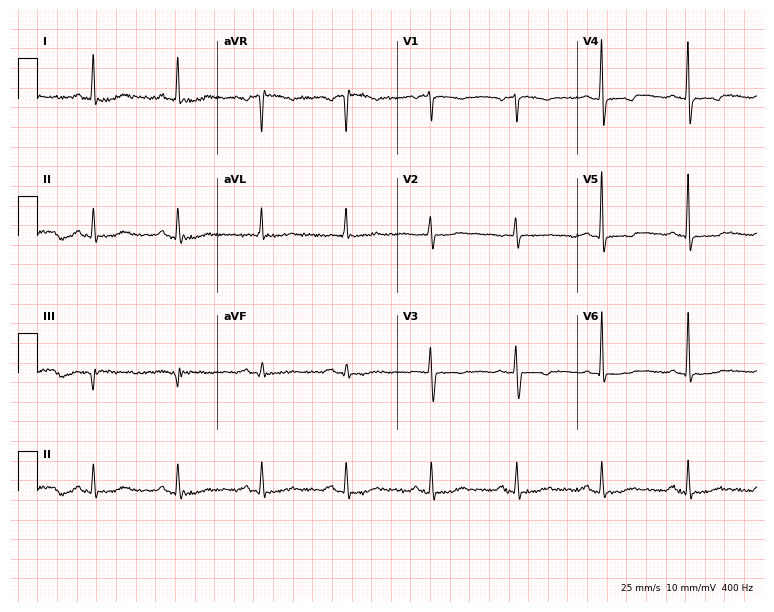
Standard 12-lead ECG recorded from a 61-year-old woman (7.3-second recording at 400 Hz). None of these six findings is recorded: first-degree AV block, right bundle branch block, left bundle branch block, sinus bradycardia, atrial fibrillation, sinus tachycardia.